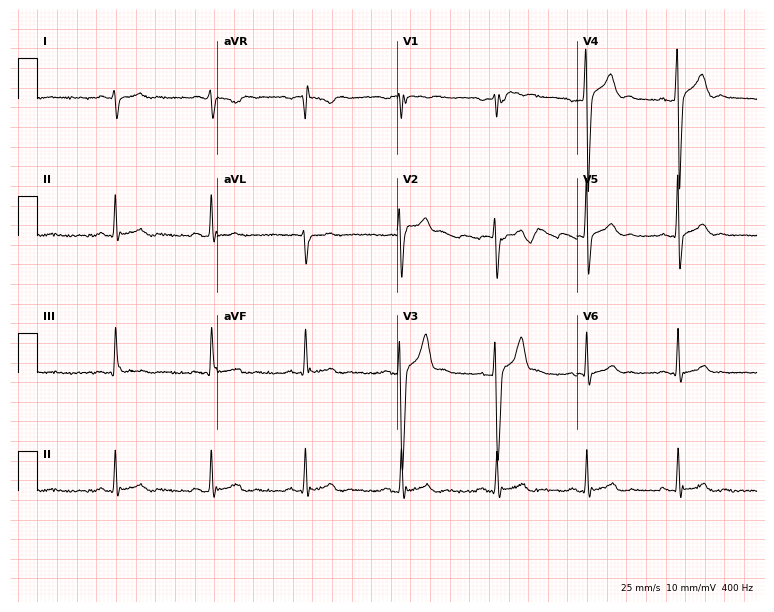
Resting 12-lead electrocardiogram. Patient: a man, 28 years old. None of these six findings is recorded: first-degree AV block, right bundle branch block (RBBB), left bundle branch block (LBBB), sinus bradycardia, atrial fibrillation (AF), sinus tachycardia. Only these six findings were labelled.